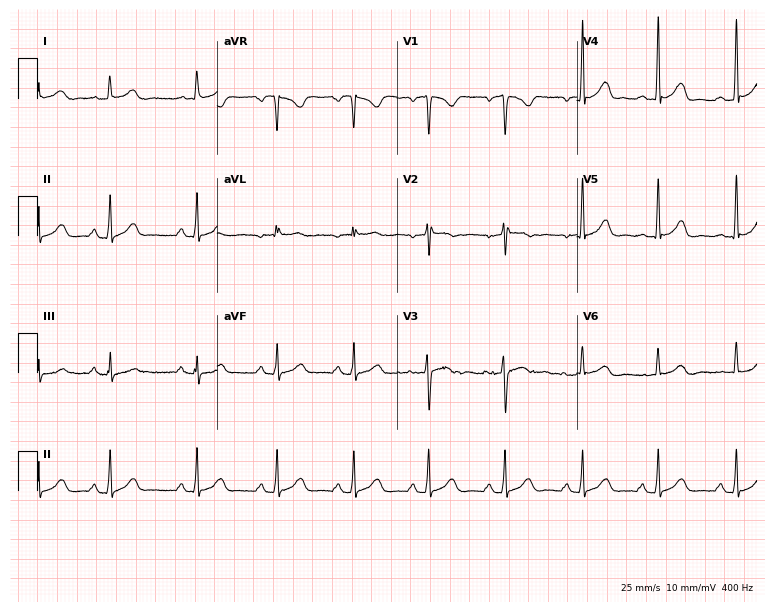
Standard 12-lead ECG recorded from a female, 20 years old (7.3-second recording at 400 Hz). Read as a normal ECG.